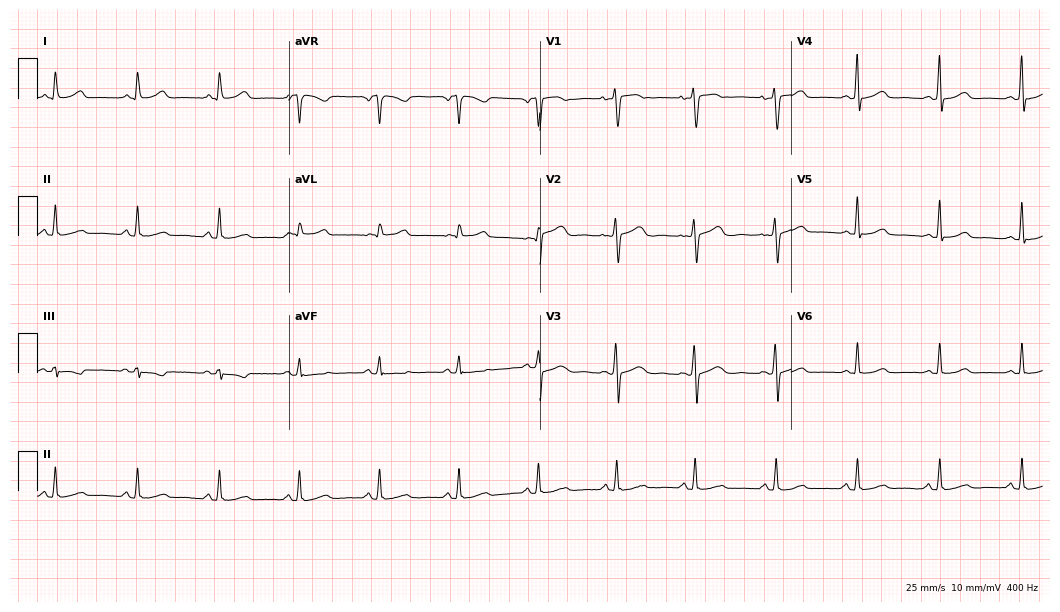
12-lead ECG from a 48-year-old female patient. Labelled as a normal ECG.